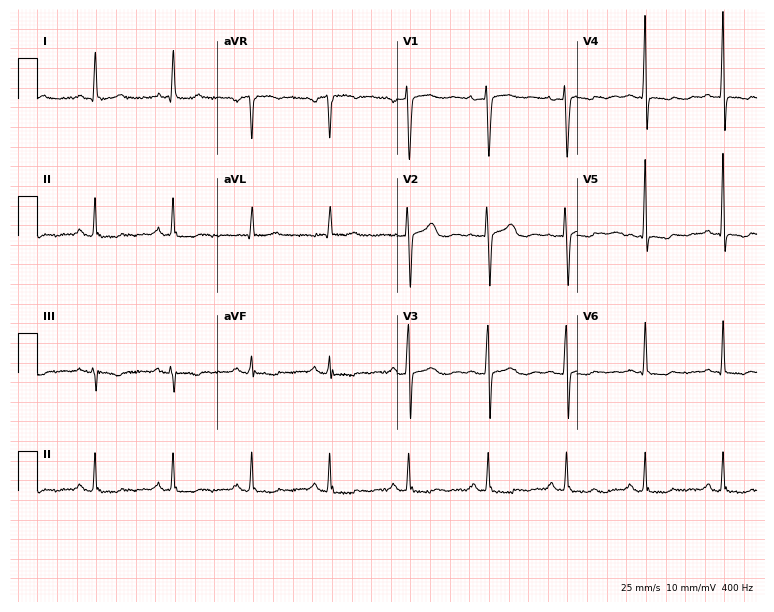
Resting 12-lead electrocardiogram (7.3-second recording at 400 Hz). Patient: a 45-year-old female. None of these six findings is recorded: first-degree AV block, right bundle branch block, left bundle branch block, sinus bradycardia, atrial fibrillation, sinus tachycardia. Only these six findings were labelled.